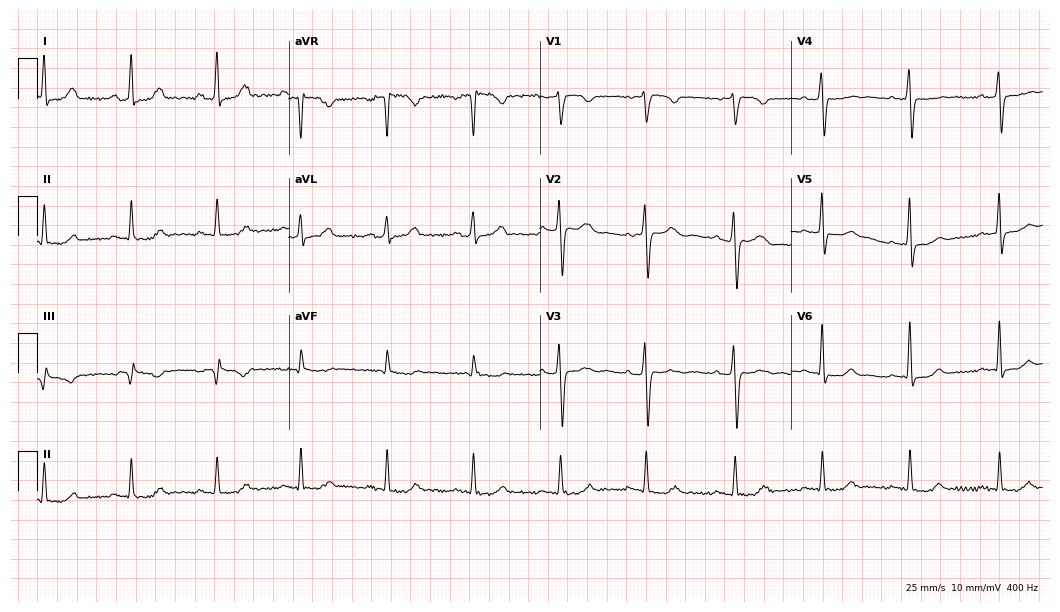
Standard 12-lead ECG recorded from a female, 51 years old (10.2-second recording at 400 Hz). None of these six findings is recorded: first-degree AV block, right bundle branch block, left bundle branch block, sinus bradycardia, atrial fibrillation, sinus tachycardia. Only these six findings were labelled.